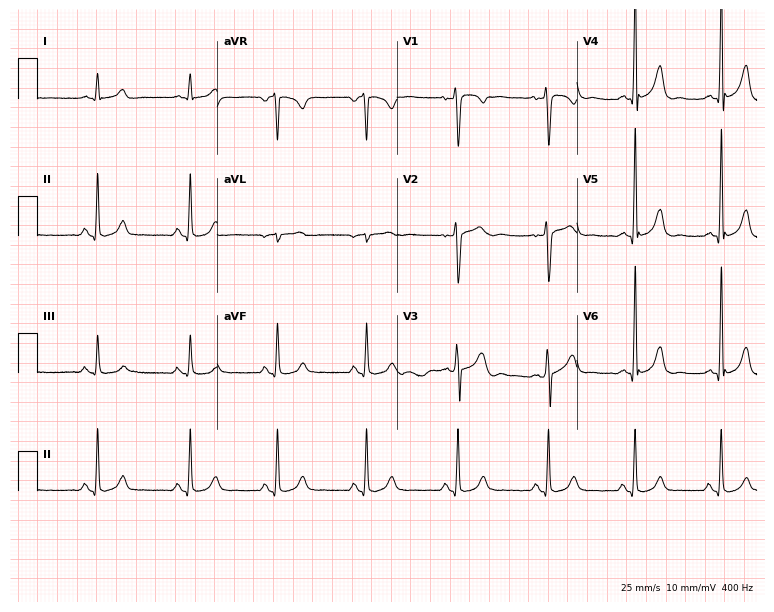
Electrocardiogram, a 42-year-old male patient. Of the six screened findings (first-degree AV block, right bundle branch block (RBBB), left bundle branch block (LBBB), sinus bradycardia, atrial fibrillation (AF), sinus tachycardia), none is recorded.